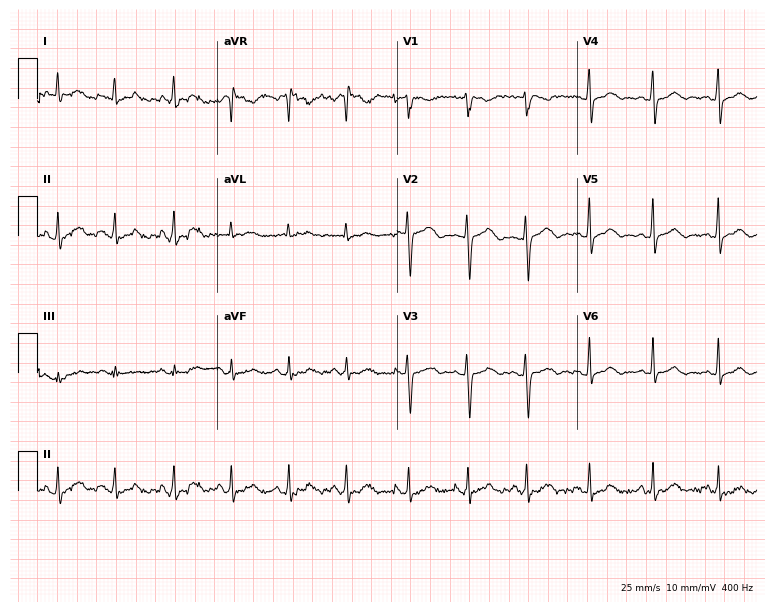
12-lead ECG from a woman, 22 years old. No first-degree AV block, right bundle branch block, left bundle branch block, sinus bradycardia, atrial fibrillation or sinus tachycardia recorded for this tracing.